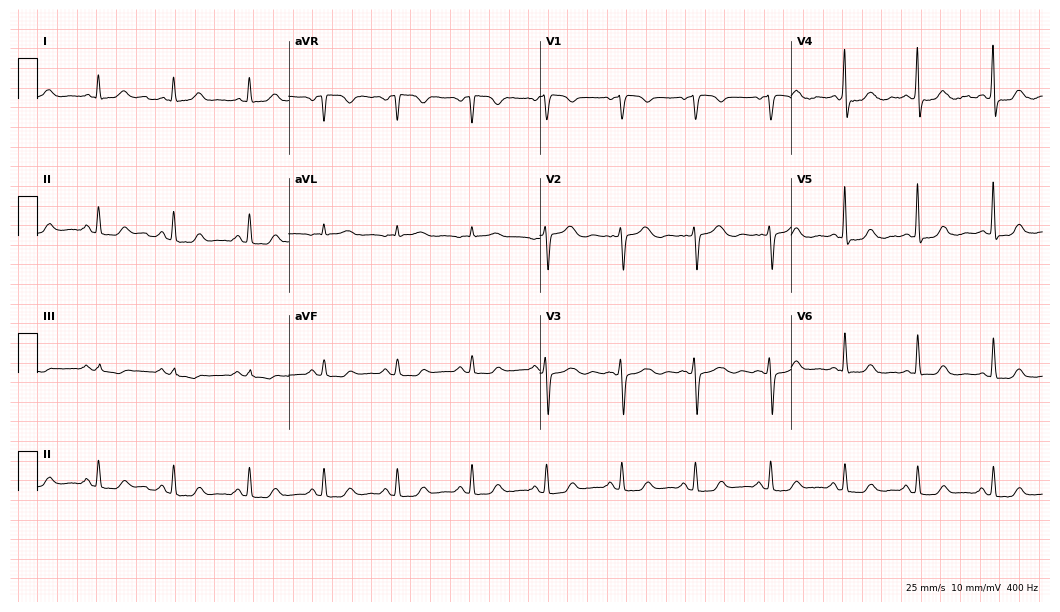
12-lead ECG from a 63-year-old female patient (10.2-second recording at 400 Hz). No first-degree AV block, right bundle branch block, left bundle branch block, sinus bradycardia, atrial fibrillation or sinus tachycardia recorded for this tracing.